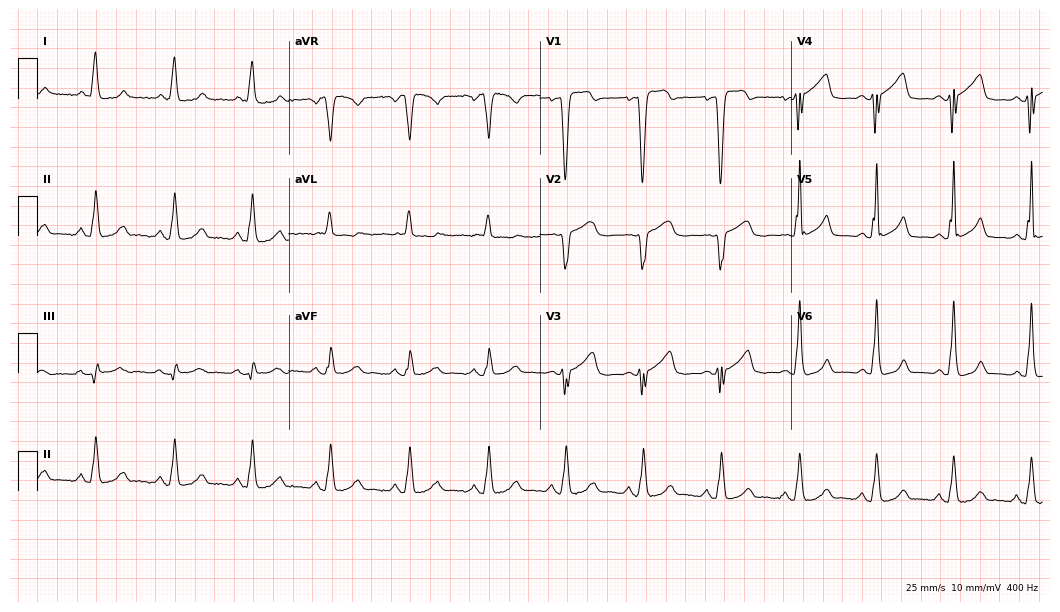
Standard 12-lead ECG recorded from a 54-year-old male. None of these six findings is recorded: first-degree AV block, right bundle branch block (RBBB), left bundle branch block (LBBB), sinus bradycardia, atrial fibrillation (AF), sinus tachycardia.